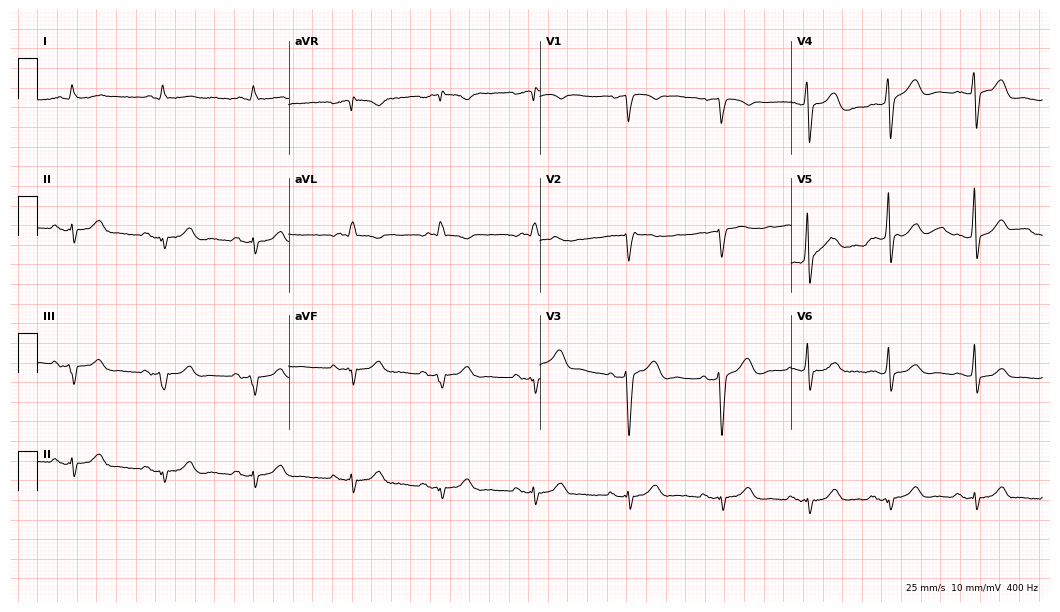
ECG — a male patient, 74 years old. Labelled as a normal ECG.